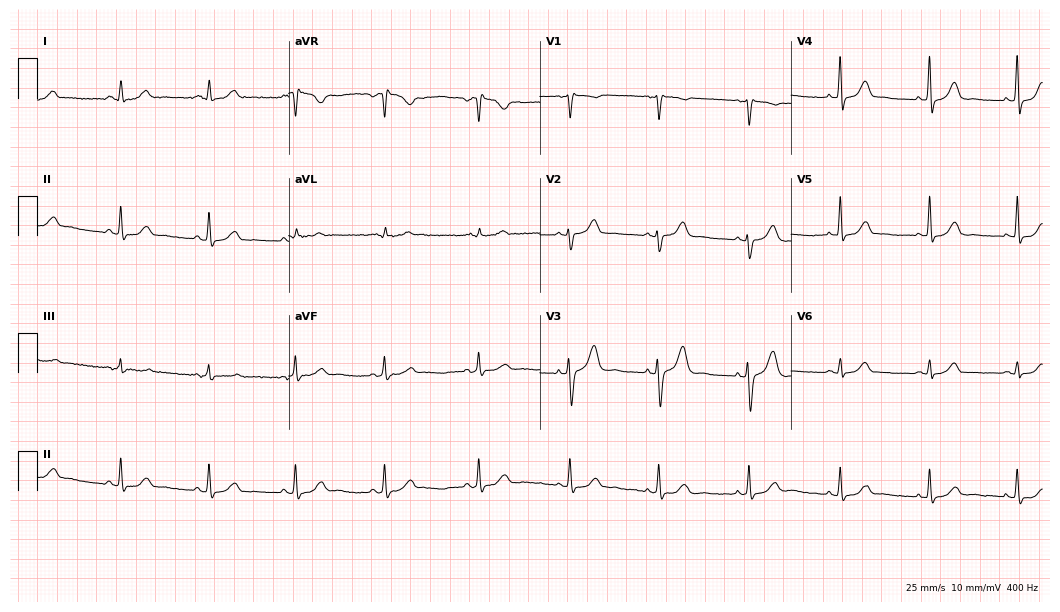
Standard 12-lead ECG recorded from a 51-year-old woman (10.2-second recording at 400 Hz). Read as a normal ECG.